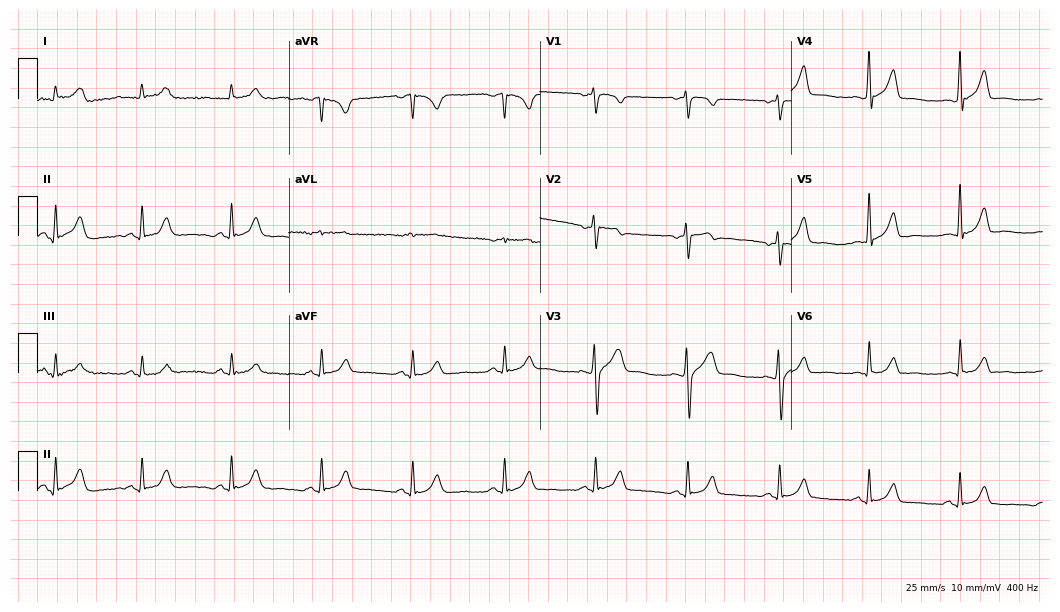
Standard 12-lead ECG recorded from a 32-year-old man (10.2-second recording at 400 Hz). Read as a normal ECG.